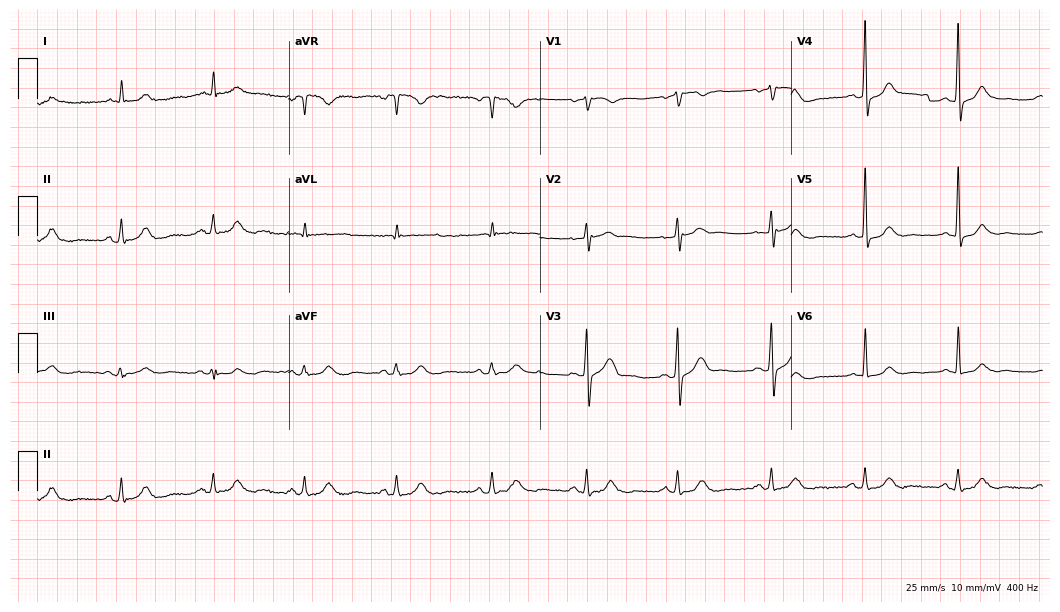
Electrocardiogram, a 25-year-old male patient. Of the six screened findings (first-degree AV block, right bundle branch block, left bundle branch block, sinus bradycardia, atrial fibrillation, sinus tachycardia), none is recorded.